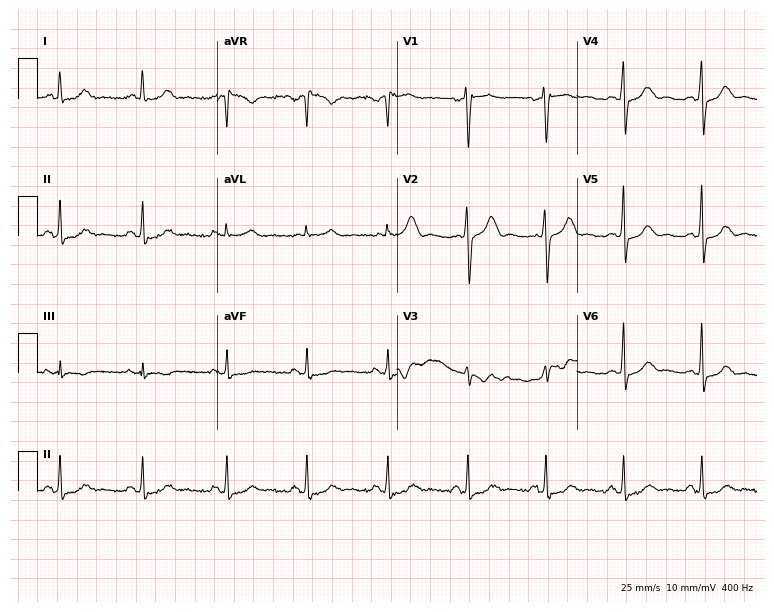
Electrocardiogram (7.3-second recording at 400 Hz), a woman, 49 years old. Of the six screened findings (first-degree AV block, right bundle branch block (RBBB), left bundle branch block (LBBB), sinus bradycardia, atrial fibrillation (AF), sinus tachycardia), none is recorded.